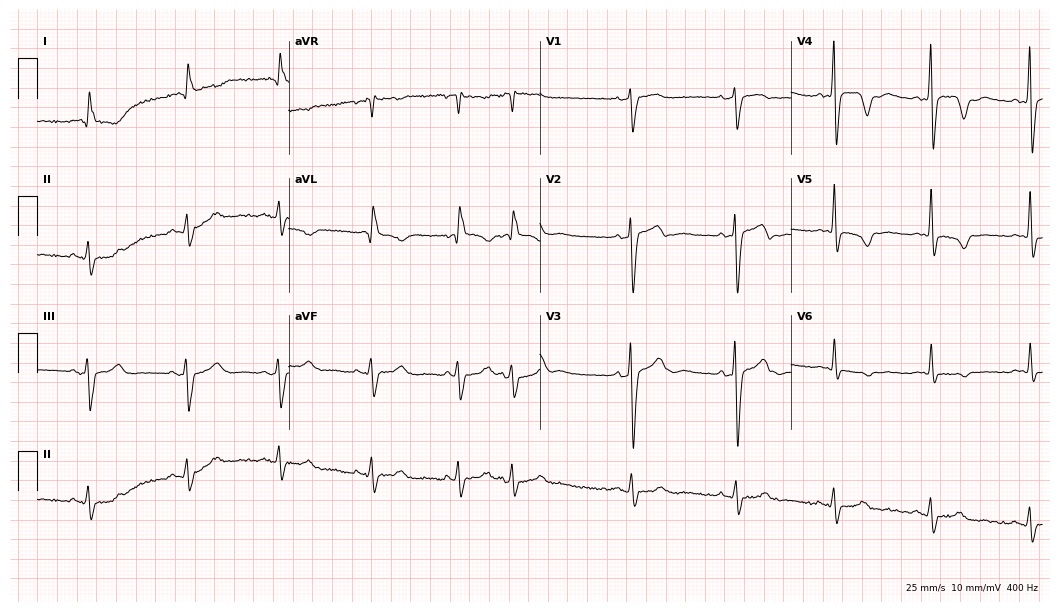
12-lead ECG from a female patient, 63 years old (10.2-second recording at 400 Hz). No first-degree AV block, right bundle branch block (RBBB), left bundle branch block (LBBB), sinus bradycardia, atrial fibrillation (AF) or sinus tachycardia recorded for this tracing.